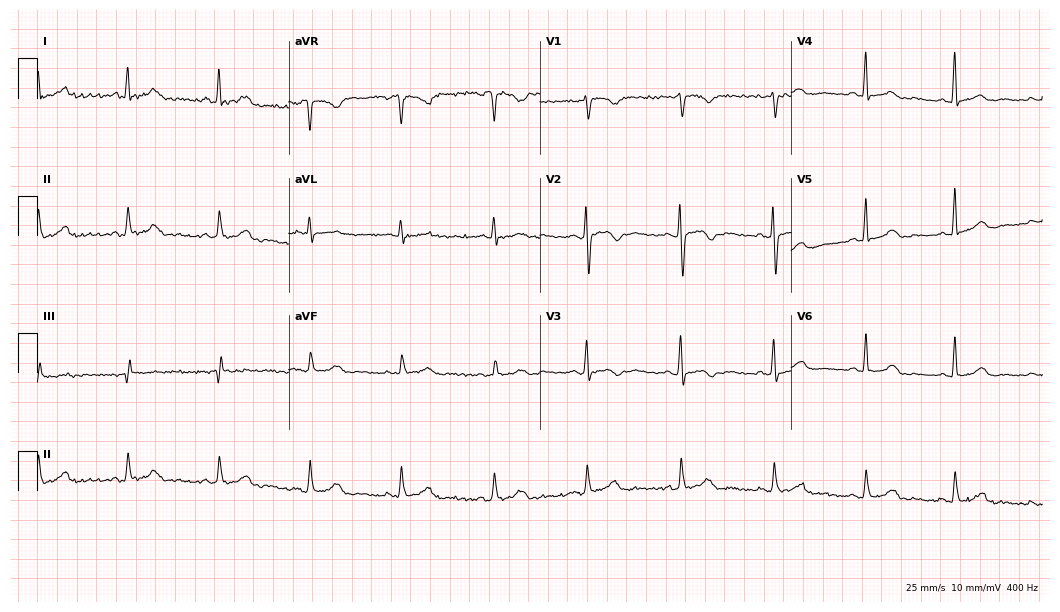
Resting 12-lead electrocardiogram (10.2-second recording at 400 Hz). Patient: a 57-year-old female. None of these six findings is recorded: first-degree AV block, right bundle branch block (RBBB), left bundle branch block (LBBB), sinus bradycardia, atrial fibrillation (AF), sinus tachycardia.